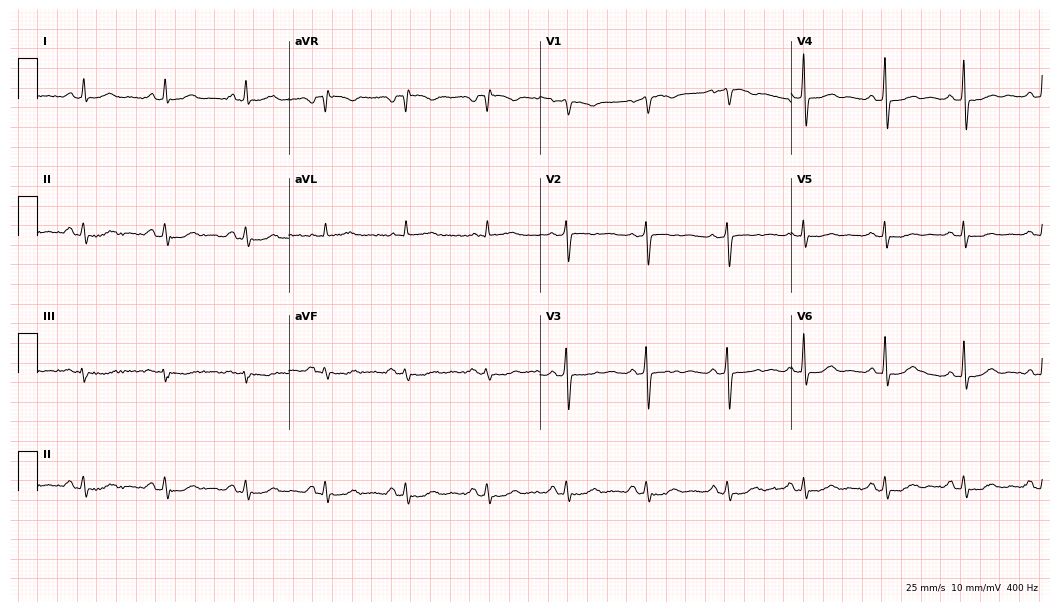
12-lead ECG (10.2-second recording at 400 Hz) from a 70-year-old male patient. Screened for six findings — first-degree AV block, right bundle branch block, left bundle branch block, sinus bradycardia, atrial fibrillation, sinus tachycardia — none is recorded.